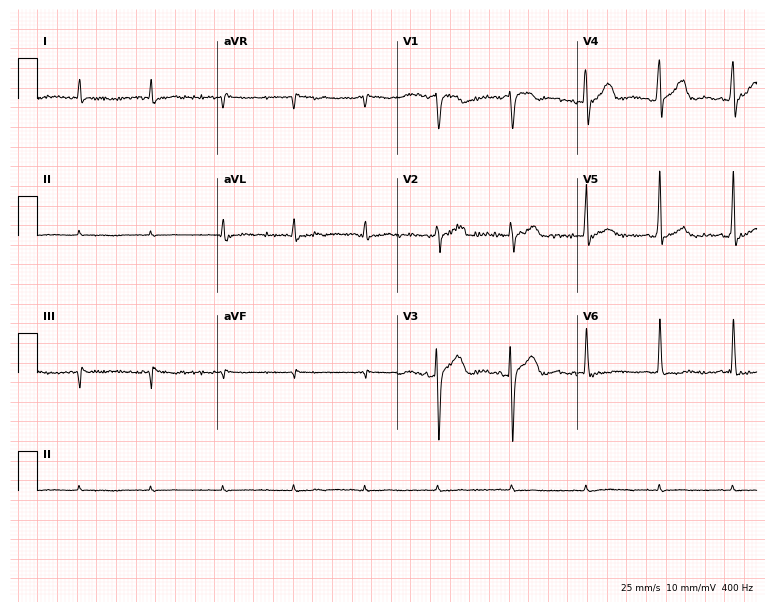
Standard 12-lead ECG recorded from an 80-year-old female (7.3-second recording at 400 Hz). None of these six findings is recorded: first-degree AV block, right bundle branch block (RBBB), left bundle branch block (LBBB), sinus bradycardia, atrial fibrillation (AF), sinus tachycardia.